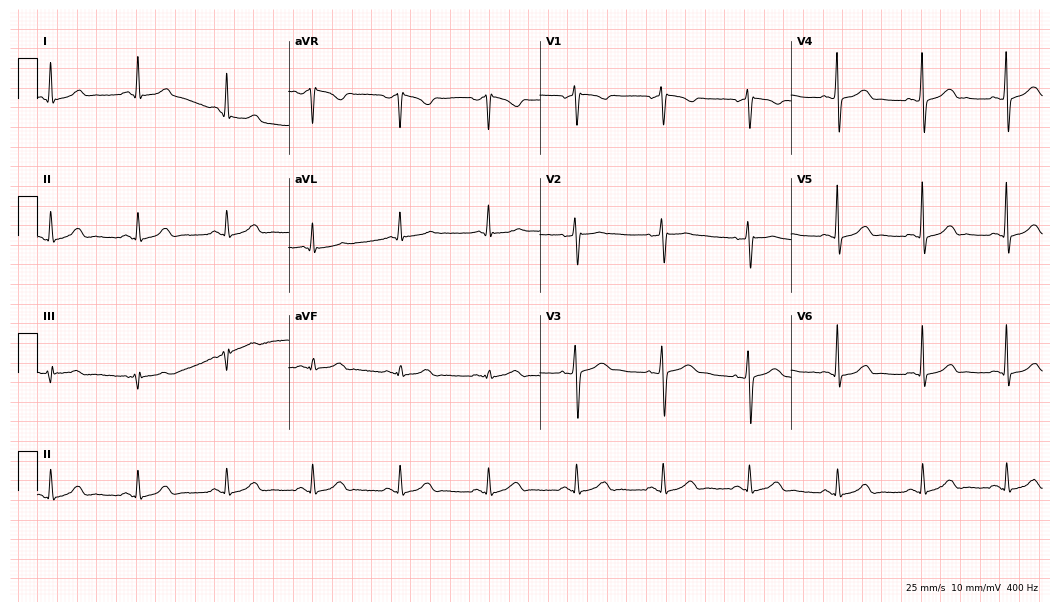
ECG — a man, 54 years old. Labelled as a normal ECG.